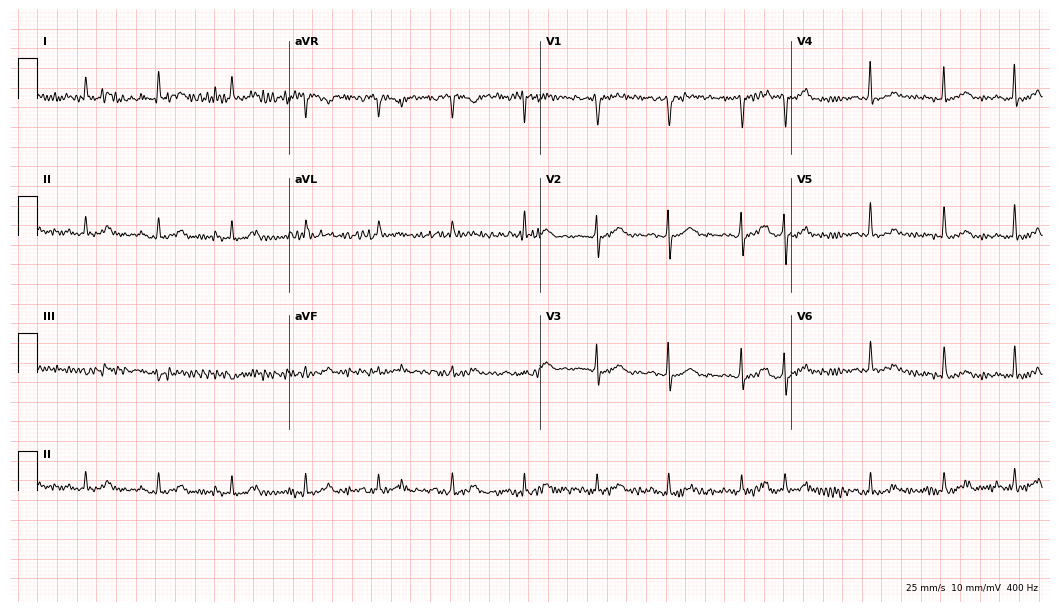
Standard 12-lead ECG recorded from a male patient, 63 years old (10.2-second recording at 400 Hz). None of these six findings is recorded: first-degree AV block, right bundle branch block, left bundle branch block, sinus bradycardia, atrial fibrillation, sinus tachycardia. Findings outside these six are not listed.